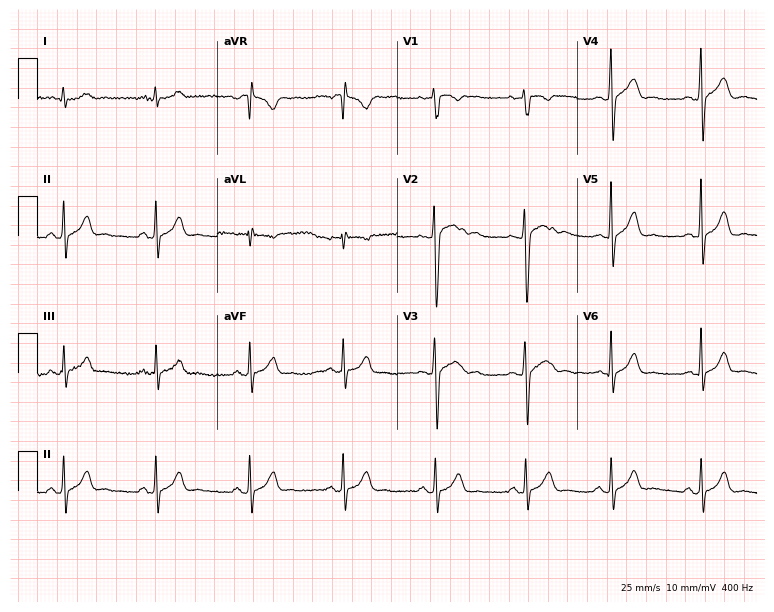
Standard 12-lead ECG recorded from a 28-year-old man. None of these six findings is recorded: first-degree AV block, right bundle branch block (RBBB), left bundle branch block (LBBB), sinus bradycardia, atrial fibrillation (AF), sinus tachycardia. Other findings, if any, are not listed.